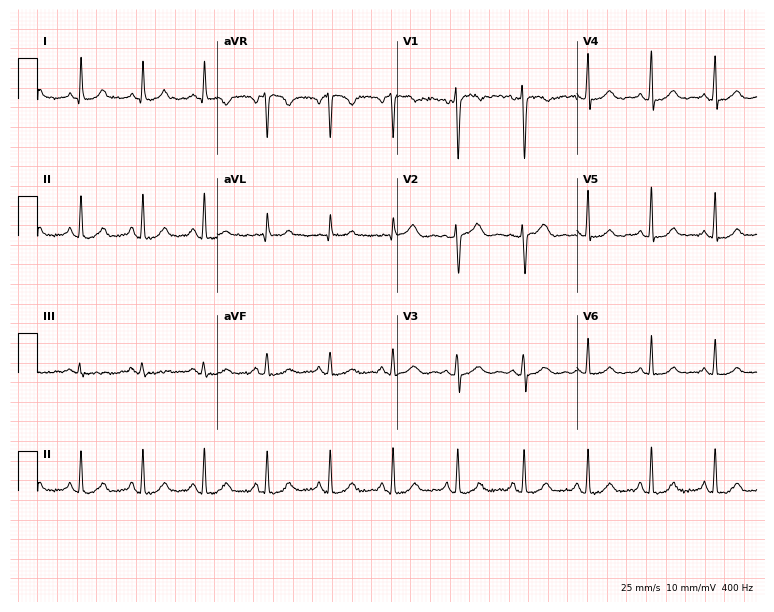
ECG — a female patient, 36 years old. Labelled as a normal ECG.